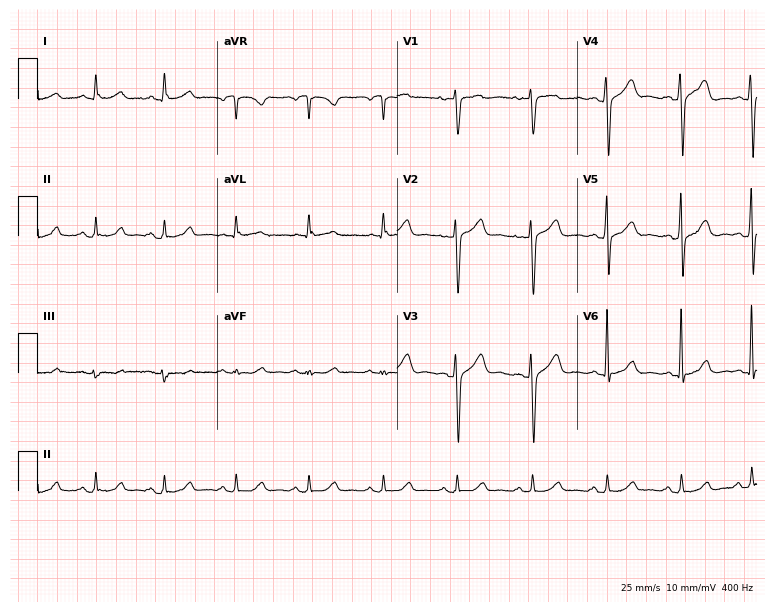
12-lead ECG from a man, 43 years old. Screened for six findings — first-degree AV block, right bundle branch block, left bundle branch block, sinus bradycardia, atrial fibrillation, sinus tachycardia — none is recorded.